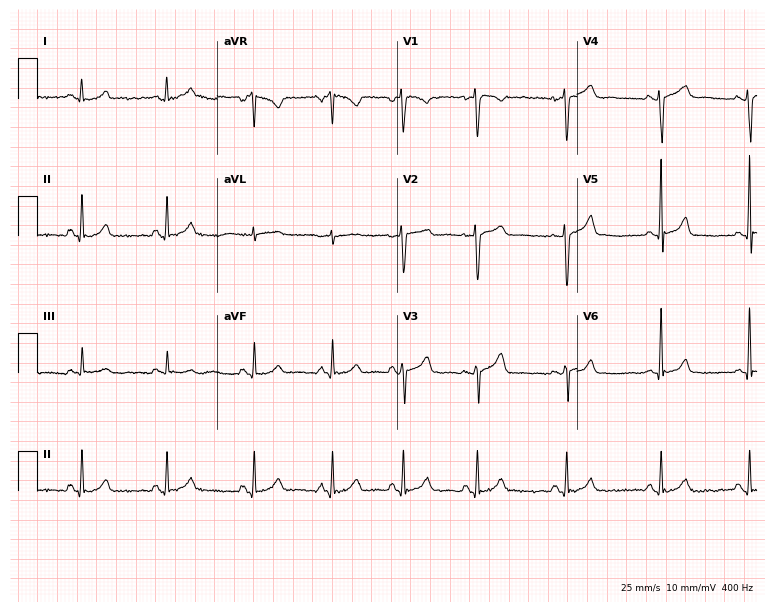
Resting 12-lead electrocardiogram (7.3-second recording at 400 Hz). Patient: a 32-year-old female. Read as a normal ECG.